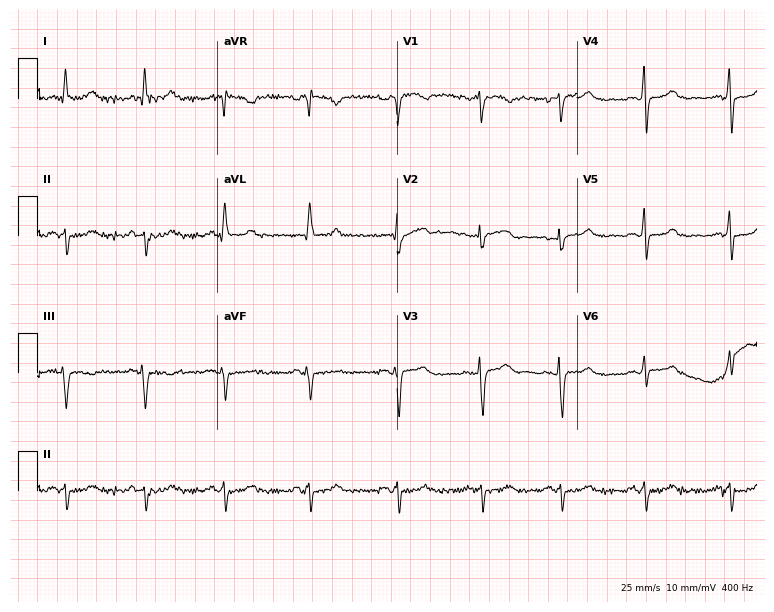
Electrocardiogram, a 57-year-old female patient. Of the six screened findings (first-degree AV block, right bundle branch block (RBBB), left bundle branch block (LBBB), sinus bradycardia, atrial fibrillation (AF), sinus tachycardia), none is recorded. Findings outside these six are not listed.